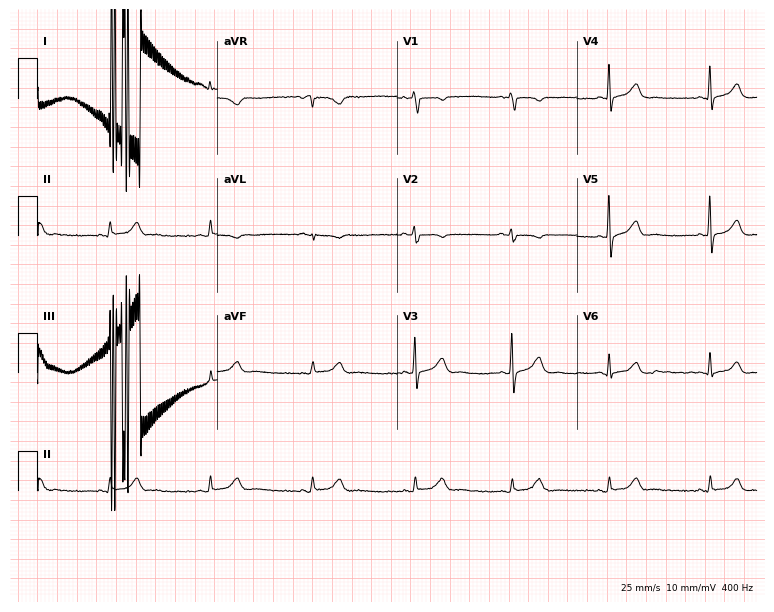
Electrocardiogram, a female patient, 38 years old. Of the six screened findings (first-degree AV block, right bundle branch block, left bundle branch block, sinus bradycardia, atrial fibrillation, sinus tachycardia), none is recorded.